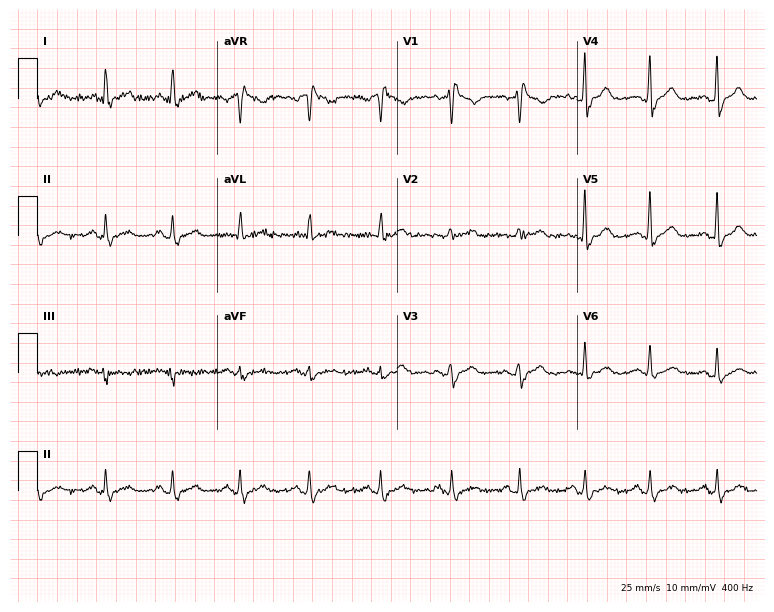
12-lead ECG from a 57-year-old woman (7.3-second recording at 400 Hz). Shows right bundle branch block.